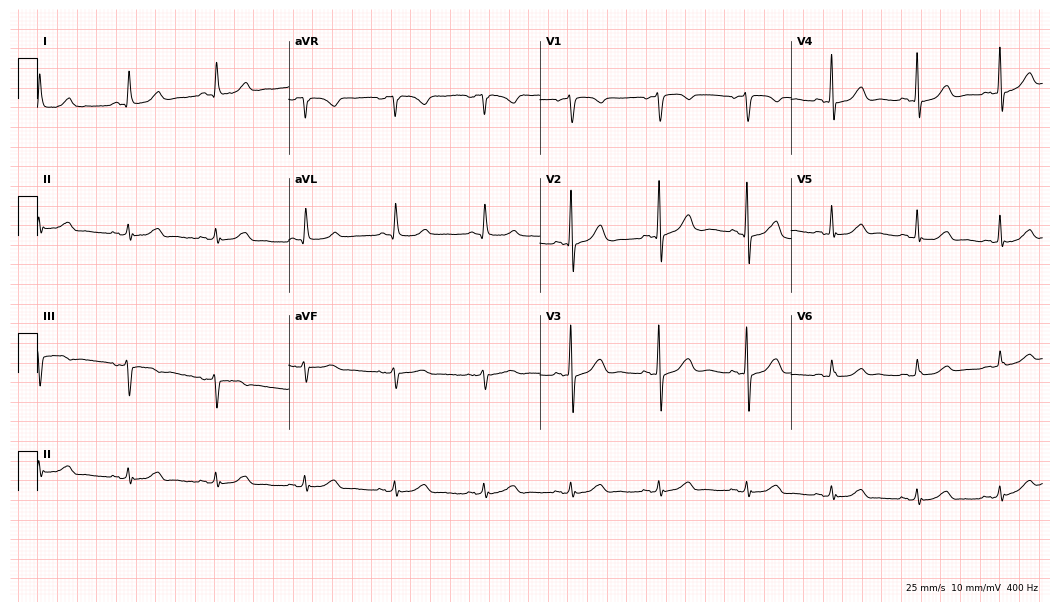
Electrocardiogram (10.2-second recording at 400 Hz), a male patient, 67 years old. Overall reading on record: normal ECG.